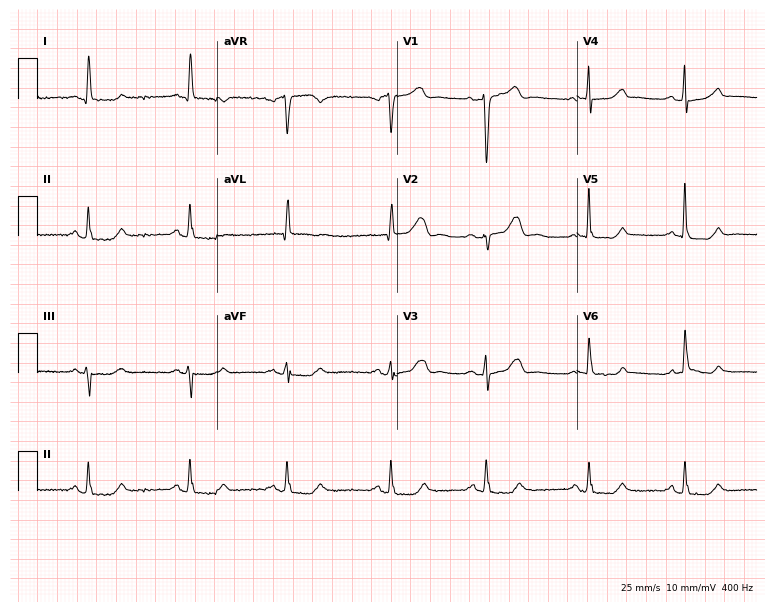
12-lead ECG from an 83-year-old woman (7.3-second recording at 400 Hz). No first-degree AV block, right bundle branch block, left bundle branch block, sinus bradycardia, atrial fibrillation or sinus tachycardia recorded for this tracing. Findings outside these six are not listed.